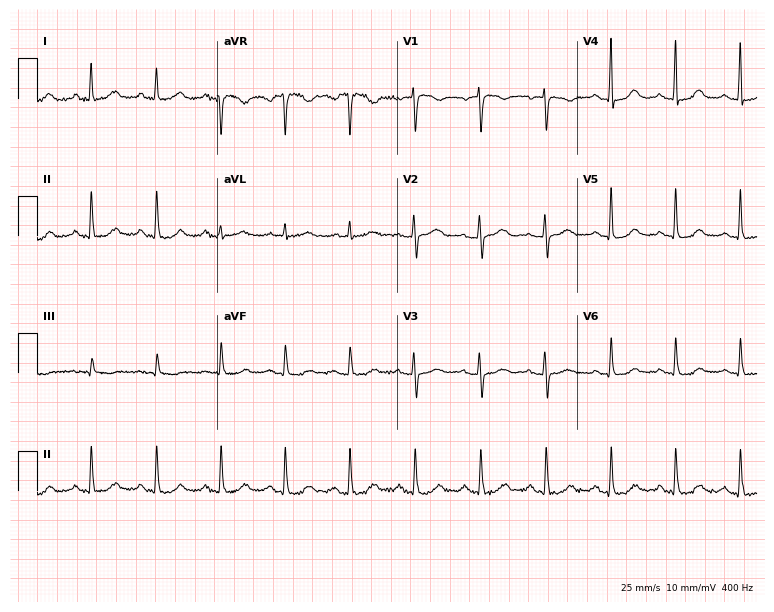
Standard 12-lead ECG recorded from a female patient, 53 years old. None of these six findings is recorded: first-degree AV block, right bundle branch block (RBBB), left bundle branch block (LBBB), sinus bradycardia, atrial fibrillation (AF), sinus tachycardia.